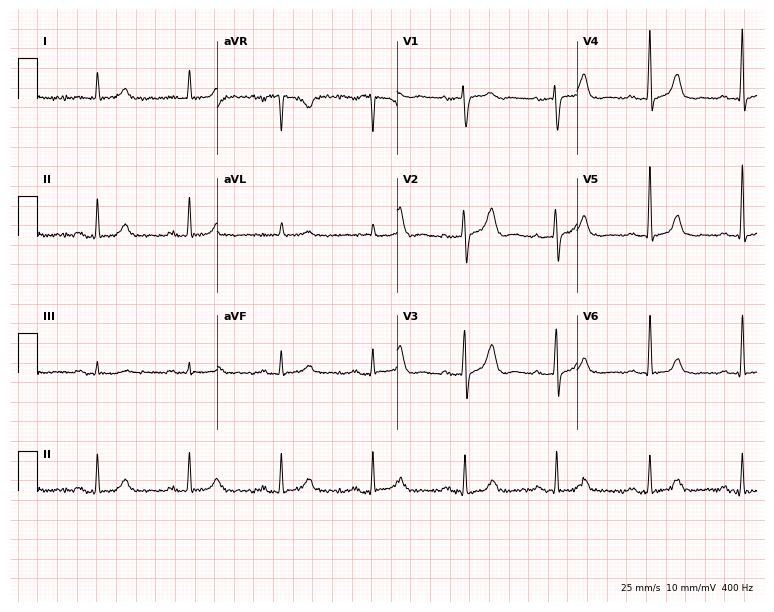
12-lead ECG from a male patient, 75 years old. Shows first-degree AV block.